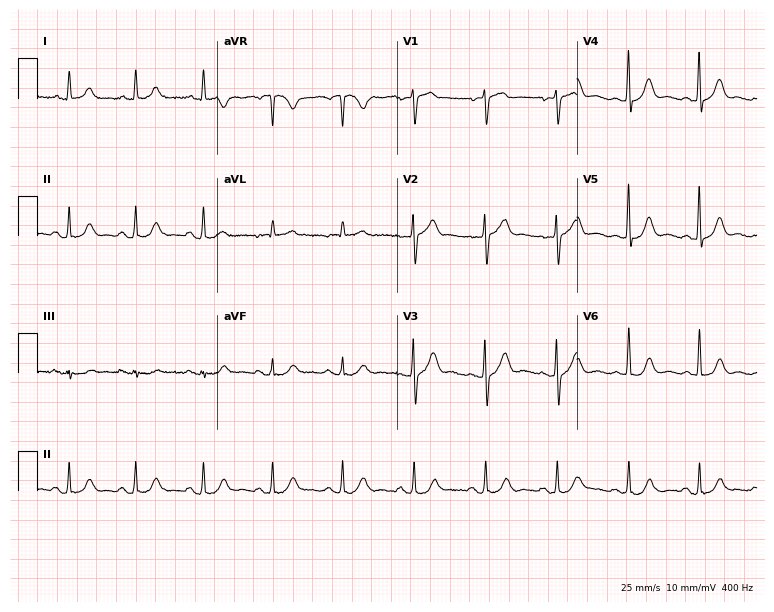
12-lead ECG (7.3-second recording at 400 Hz) from a 74-year-old male patient. Labelled as a normal ECG.